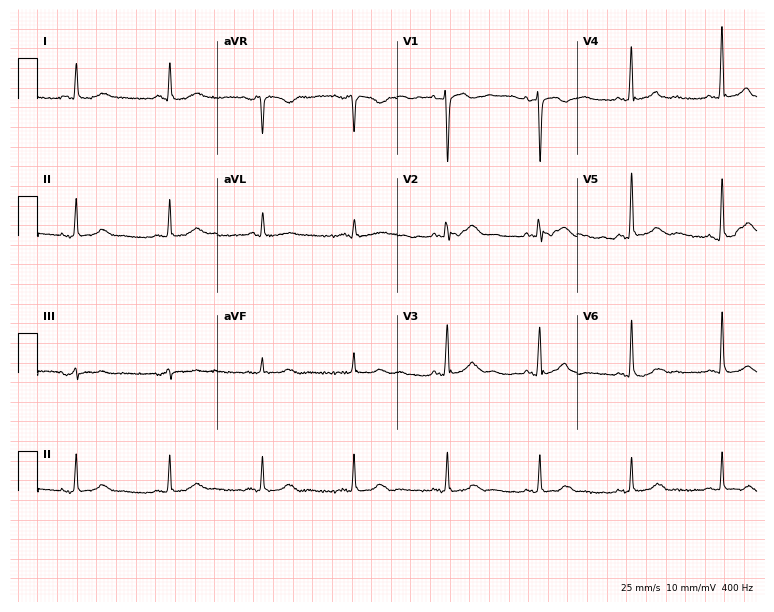
Electrocardiogram (7.3-second recording at 400 Hz), an 81-year-old female patient. Overall reading on record: normal ECG.